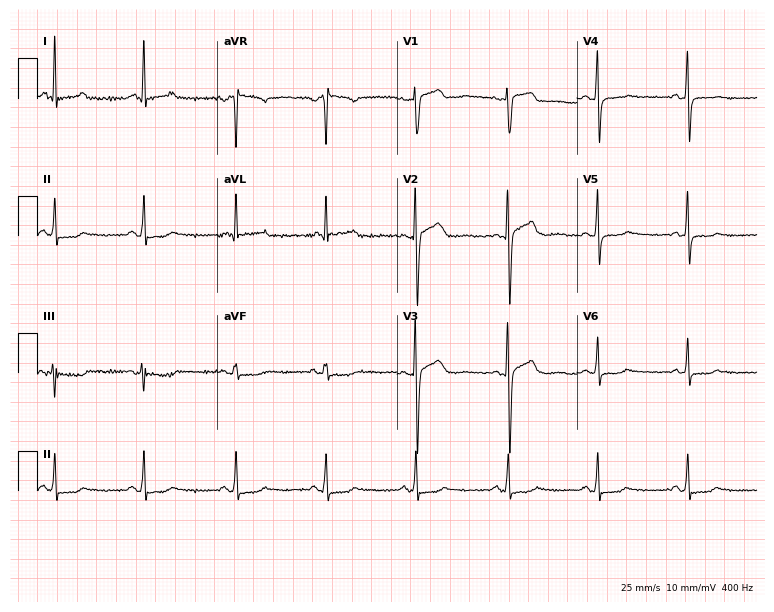
Resting 12-lead electrocardiogram. Patient: a 32-year-old woman. None of these six findings is recorded: first-degree AV block, right bundle branch block (RBBB), left bundle branch block (LBBB), sinus bradycardia, atrial fibrillation (AF), sinus tachycardia. Only these six findings were labelled.